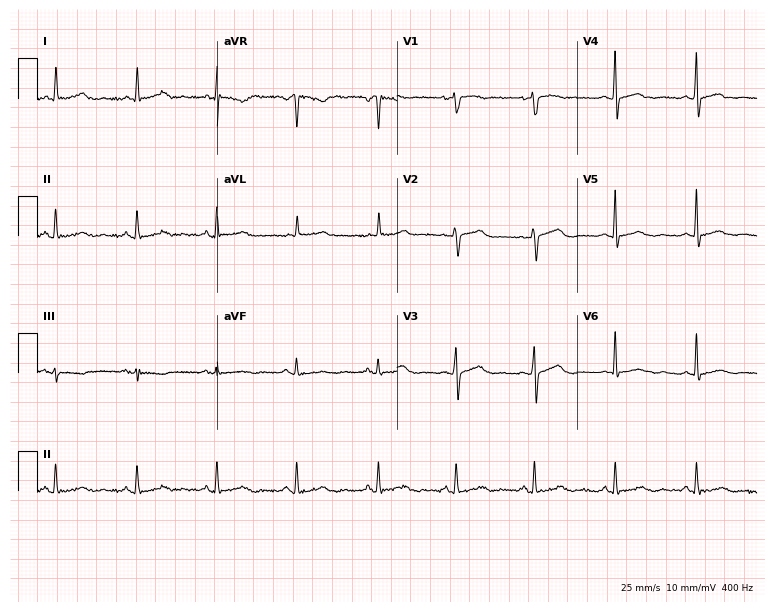
Resting 12-lead electrocardiogram (7.3-second recording at 400 Hz). Patient: a female, 59 years old. None of these six findings is recorded: first-degree AV block, right bundle branch block, left bundle branch block, sinus bradycardia, atrial fibrillation, sinus tachycardia.